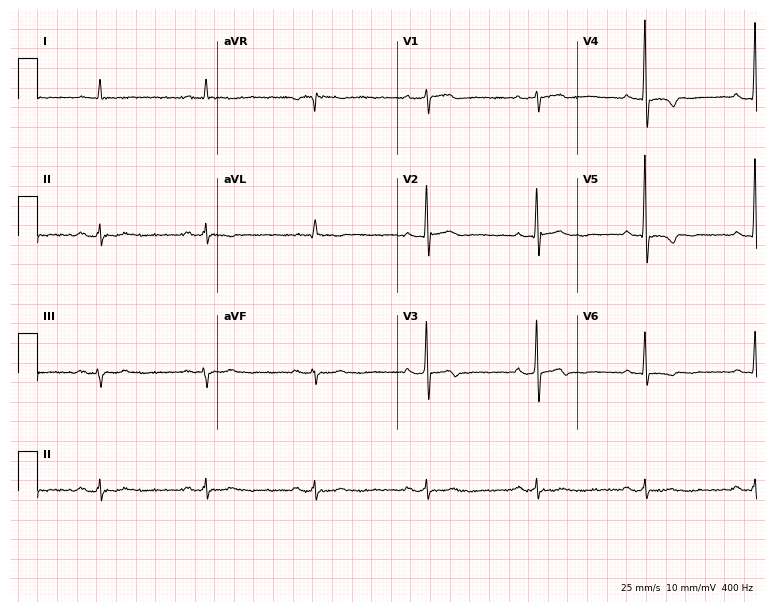
12-lead ECG from a male, 75 years old. No first-degree AV block, right bundle branch block, left bundle branch block, sinus bradycardia, atrial fibrillation or sinus tachycardia recorded for this tracing.